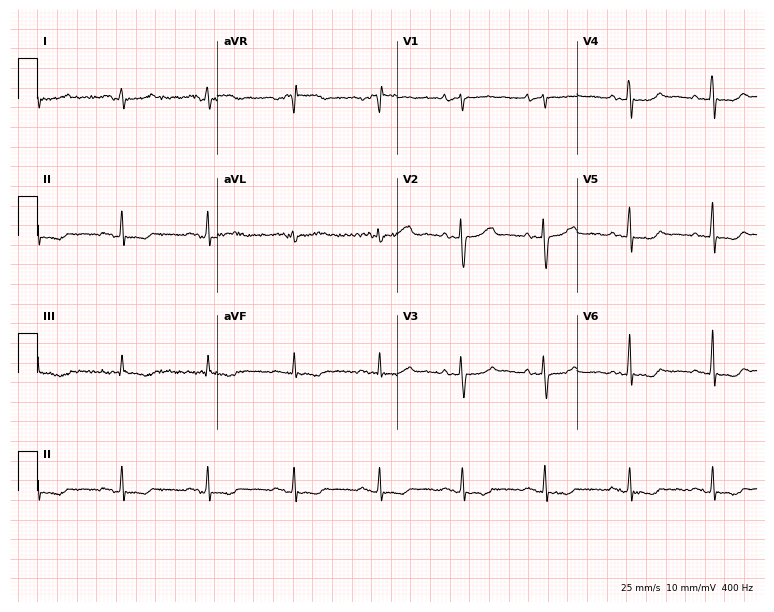
Resting 12-lead electrocardiogram. Patient: a woman, 44 years old. None of these six findings is recorded: first-degree AV block, right bundle branch block, left bundle branch block, sinus bradycardia, atrial fibrillation, sinus tachycardia.